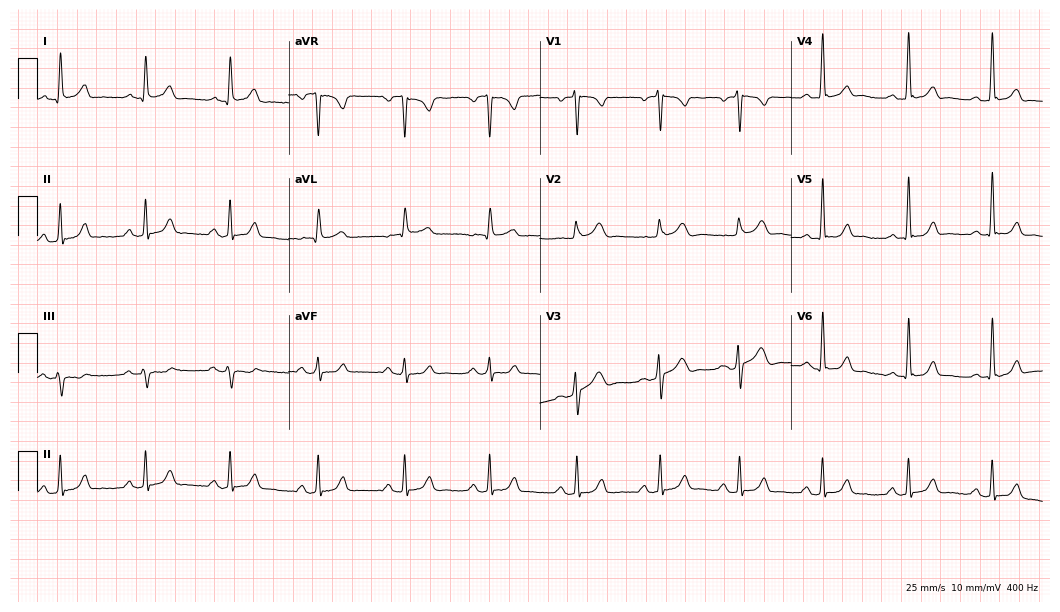
12-lead ECG (10.2-second recording at 400 Hz) from a male, 34 years old. Labelled as a normal ECG.